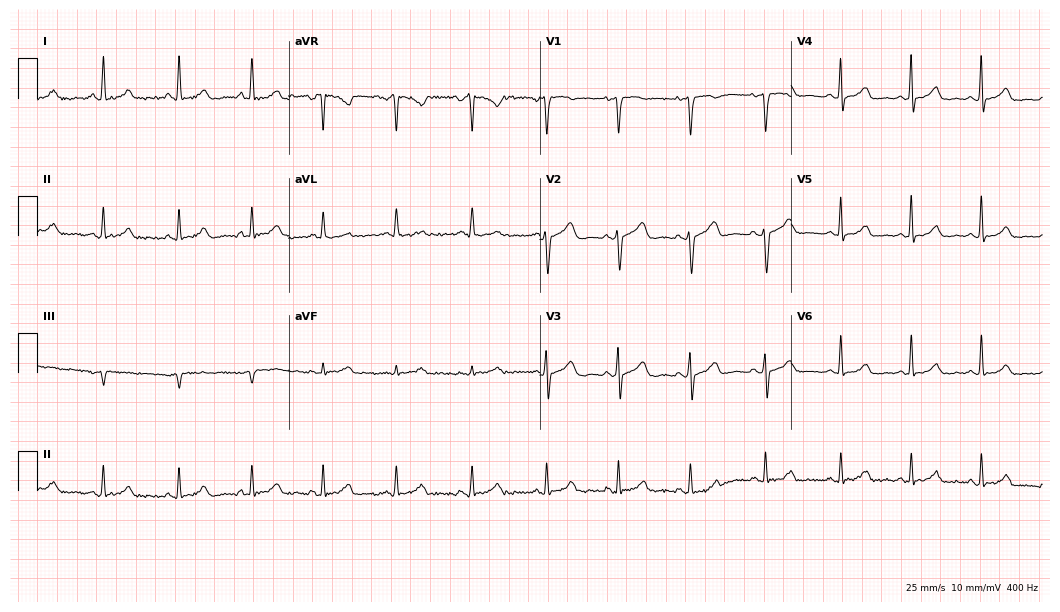
Electrocardiogram (10.2-second recording at 400 Hz), a female, 34 years old. Overall reading on record: normal ECG.